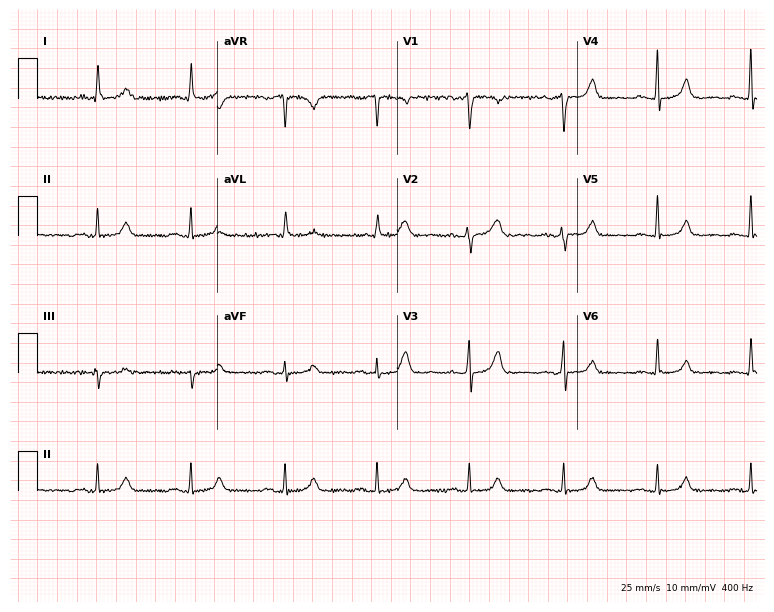
12-lead ECG (7.3-second recording at 400 Hz) from a woman, 71 years old. Labelled as a normal ECG.